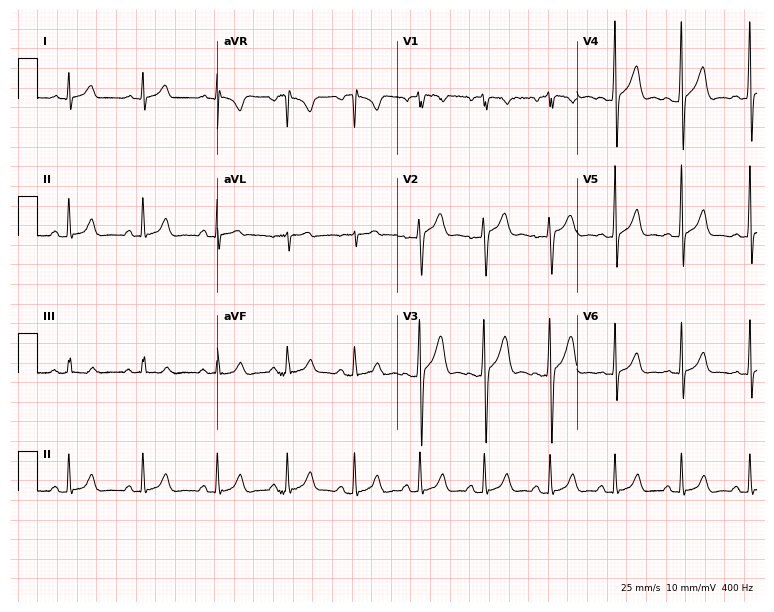
Standard 12-lead ECG recorded from a 19-year-old male. None of these six findings is recorded: first-degree AV block, right bundle branch block, left bundle branch block, sinus bradycardia, atrial fibrillation, sinus tachycardia. Findings outside these six are not listed.